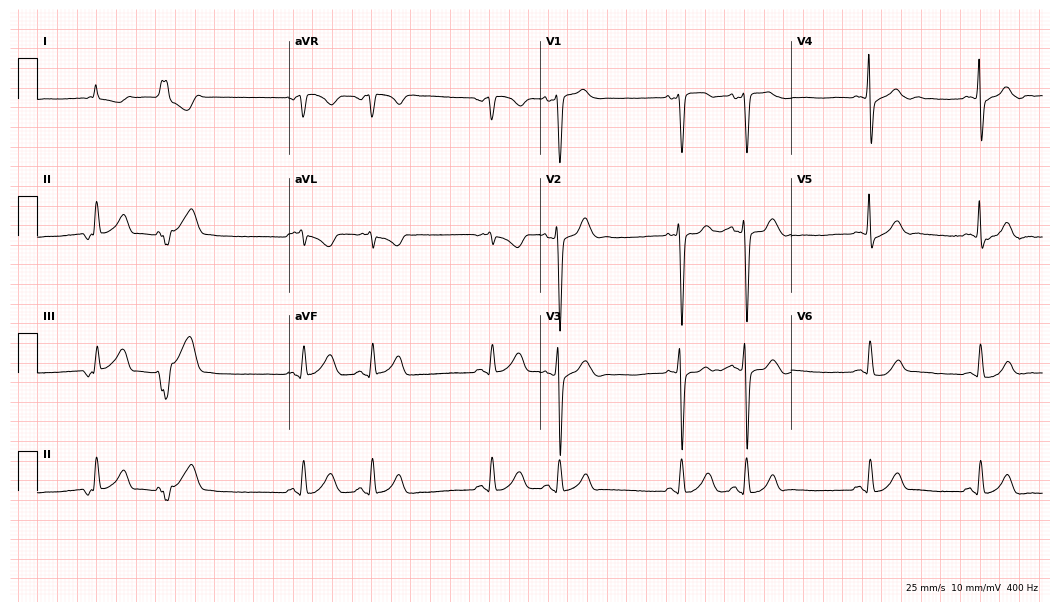
ECG (10.2-second recording at 400 Hz) — a 63-year-old man. Screened for six findings — first-degree AV block, right bundle branch block, left bundle branch block, sinus bradycardia, atrial fibrillation, sinus tachycardia — none is recorded.